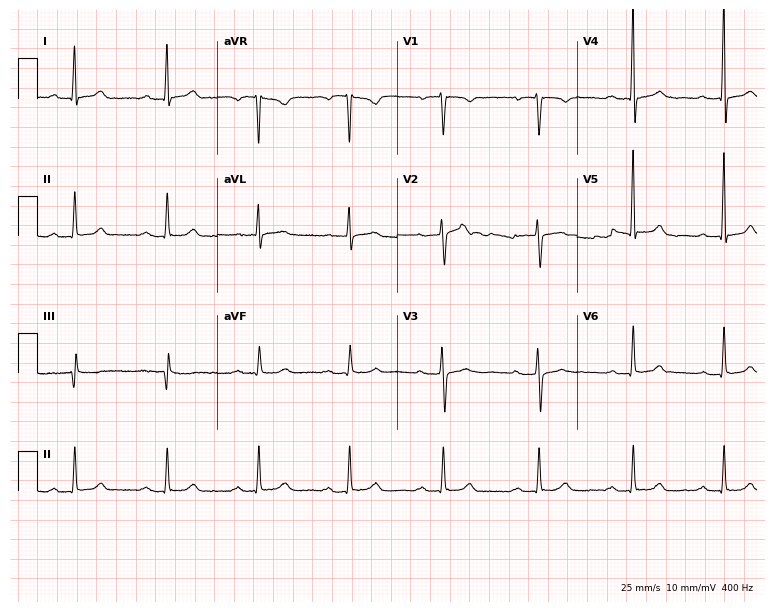
Resting 12-lead electrocardiogram (7.3-second recording at 400 Hz). Patient: a 70-year-old female. The tracing shows first-degree AV block.